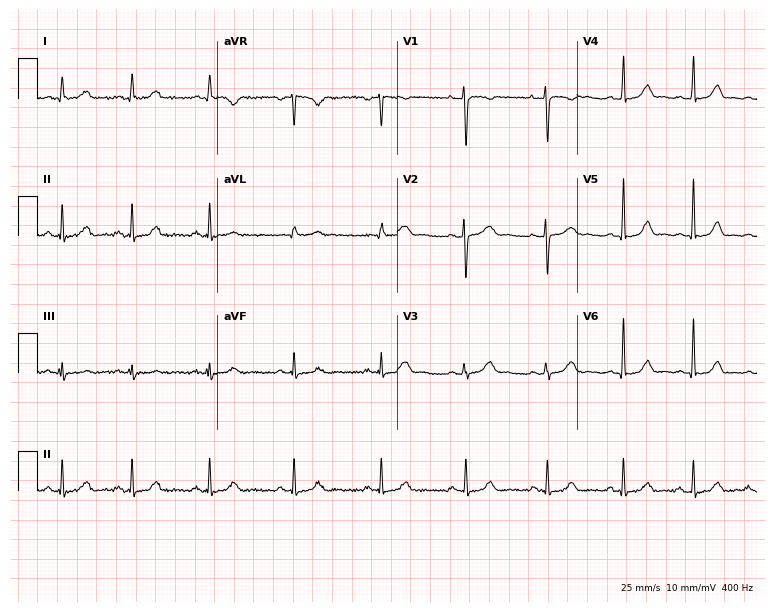
12-lead ECG from a 24-year-old female patient. Recorded interpretation: within normal limits.